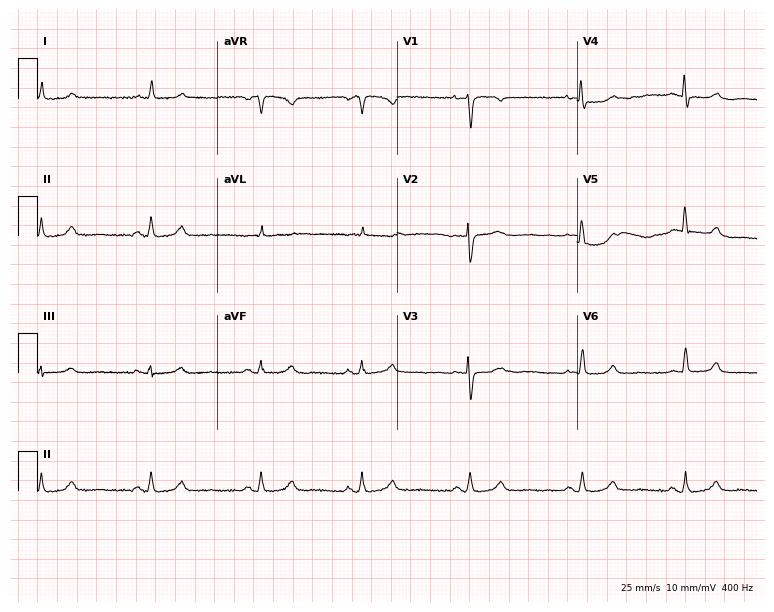
Resting 12-lead electrocardiogram. Patient: a woman, 69 years old. Read as a normal ECG.